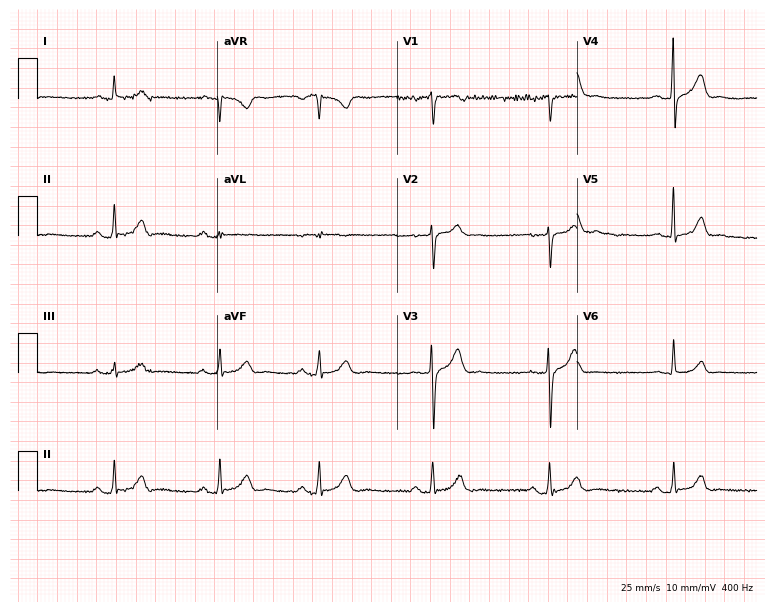
12-lead ECG from a male patient, 33 years old. Screened for six findings — first-degree AV block, right bundle branch block, left bundle branch block, sinus bradycardia, atrial fibrillation, sinus tachycardia — none is recorded. Other findings, if any, are not listed.